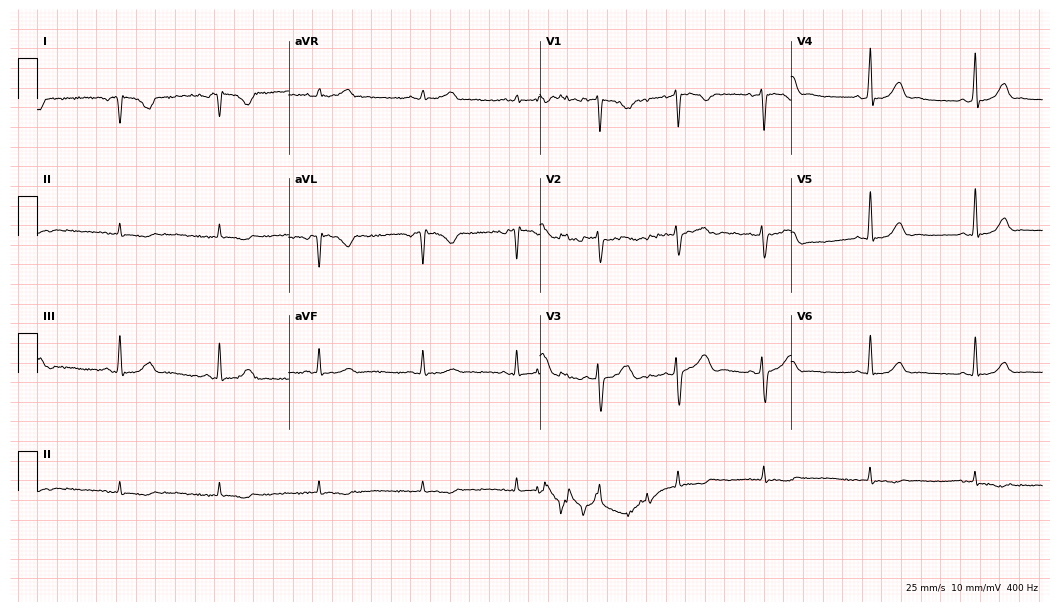
12-lead ECG from a woman, 33 years old (10.2-second recording at 400 Hz). No first-degree AV block, right bundle branch block (RBBB), left bundle branch block (LBBB), sinus bradycardia, atrial fibrillation (AF) or sinus tachycardia recorded for this tracing. Findings outside these six are not listed.